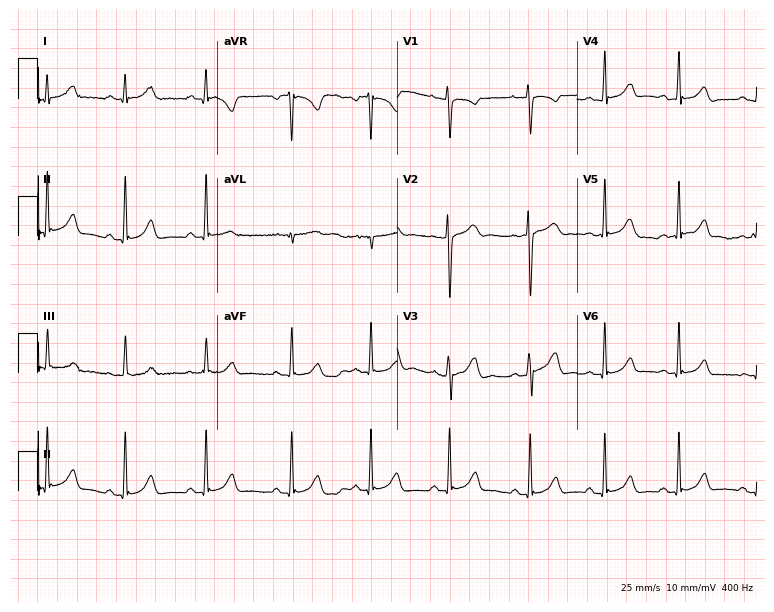
Resting 12-lead electrocardiogram (7.3-second recording at 400 Hz). Patient: a female, 19 years old. Read as a normal ECG.